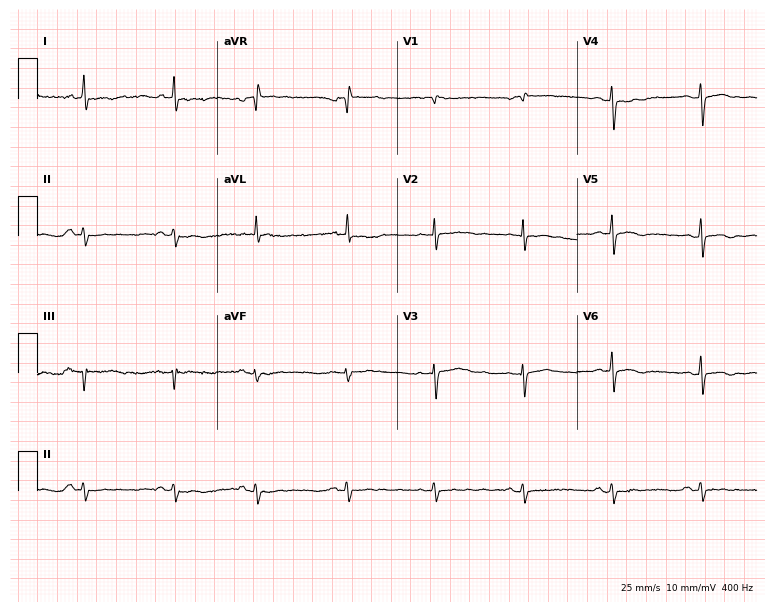
ECG — a female, 80 years old. Screened for six findings — first-degree AV block, right bundle branch block, left bundle branch block, sinus bradycardia, atrial fibrillation, sinus tachycardia — none is recorded. Findings outside these six are not listed.